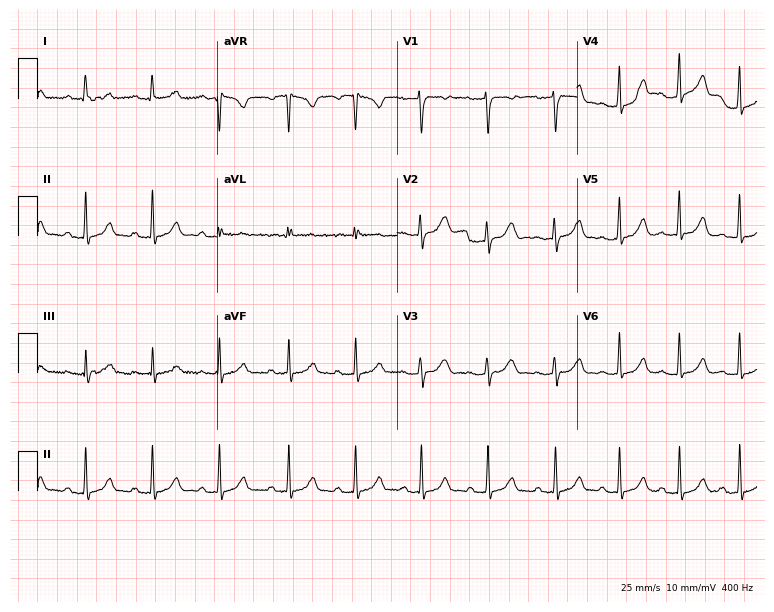
12-lead ECG from an 18-year-old woman. Labelled as a normal ECG.